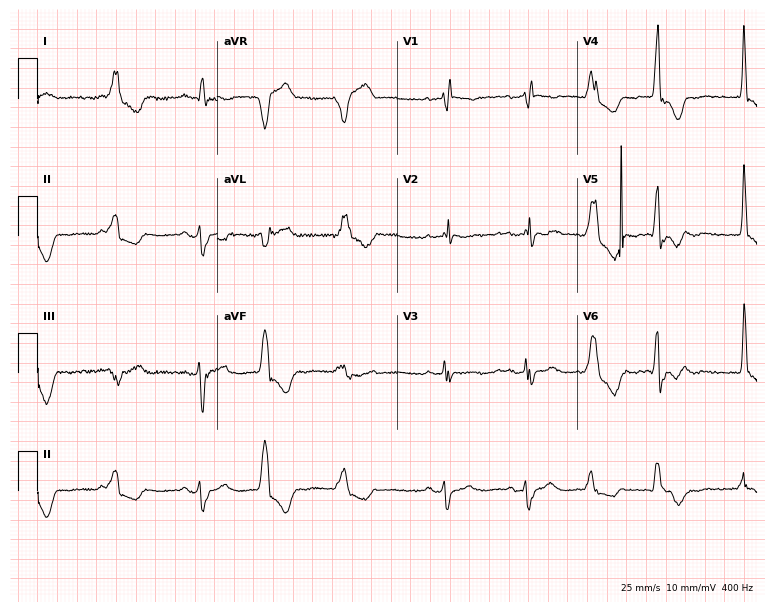
Electrocardiogram (7.3-second recording at 400 Hz), a female patient, 67 years old. Interpretation includes right bundle branch block (RBBB).